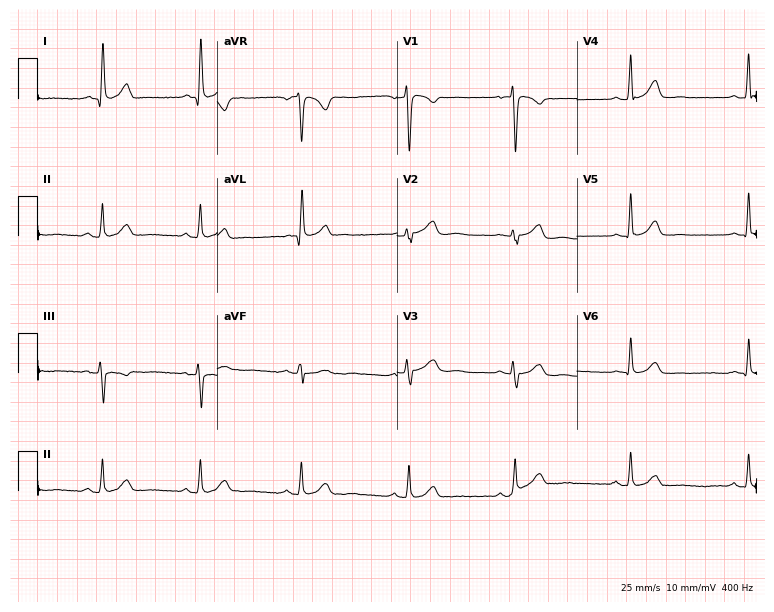
12-lead ECG from a woman, 47 years old. No first-degree AV block, right bundle branch block (RBBB), left bundle branch block (LBBB), sinus bradycardia, atrial fibrillation (AF) or sinus tachycardia recorded for this tracing. Other findings, if any, are not listed.